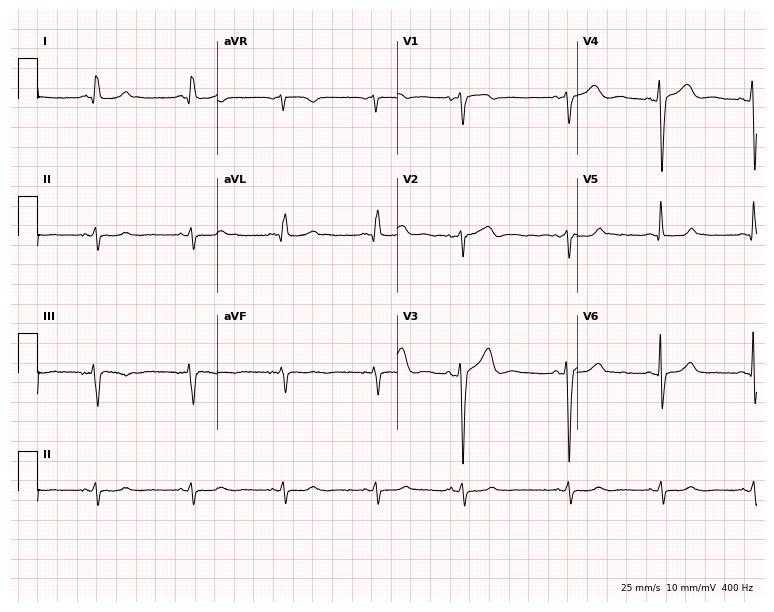
12-lead ECG (7.3-second recording at 400 Hz) from a 58-year-old male patient. Screened for six findings — first-degree AV block, right bundle branch block, left bundle branch block, sinus bradycardia, atrial fibrillation, sinus tachycardia — none is recorded.